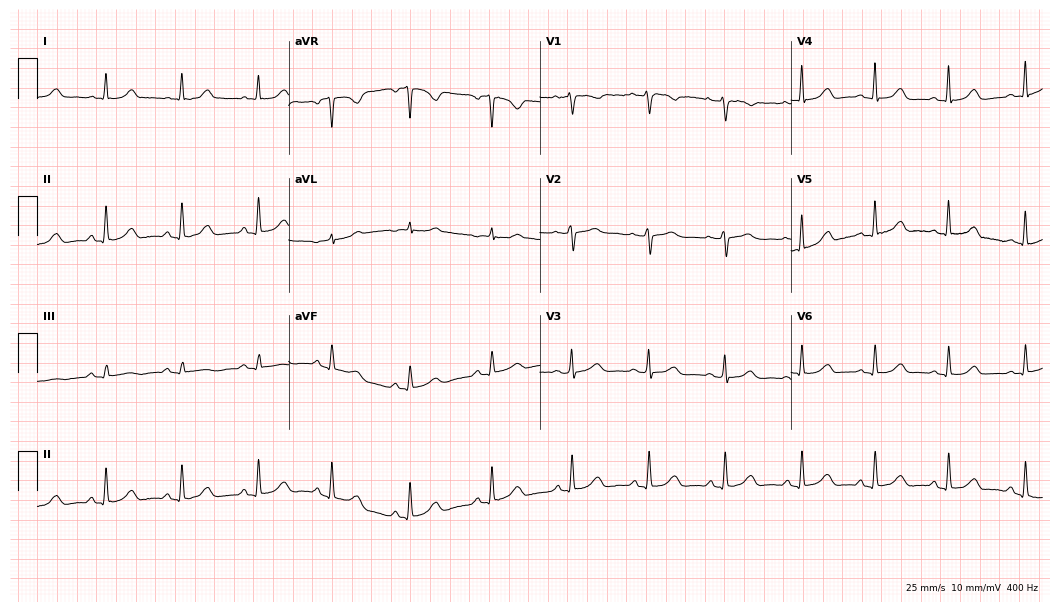
12-lead ECG from a woman, 36 years old. Labelled as a normal ECG.